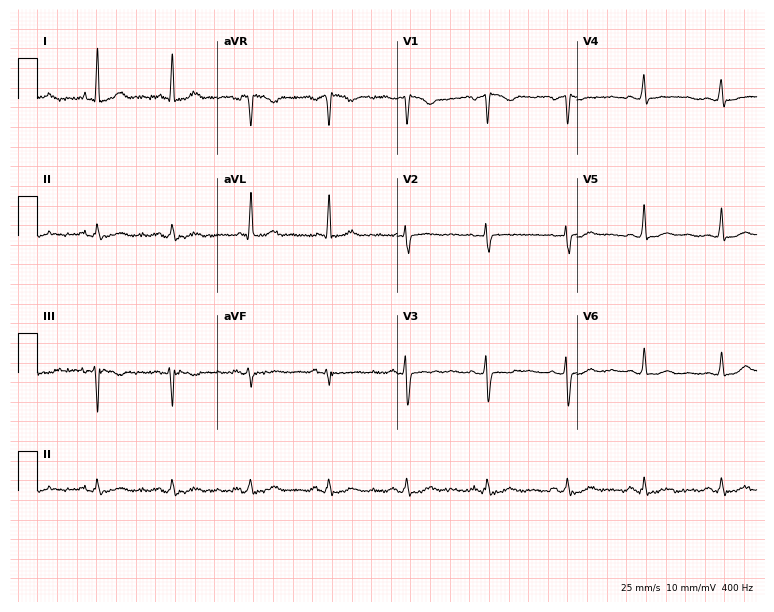
Standard 12-lead ECG recorded from a 26-year-old woman (7.3-second recording at 400 Hz). None of these six findings is recorded: first-degree AV block, right bundle branch block, left bundle branch block, sinus bradycardia, atrial fibrillation, sinus tachycardia.